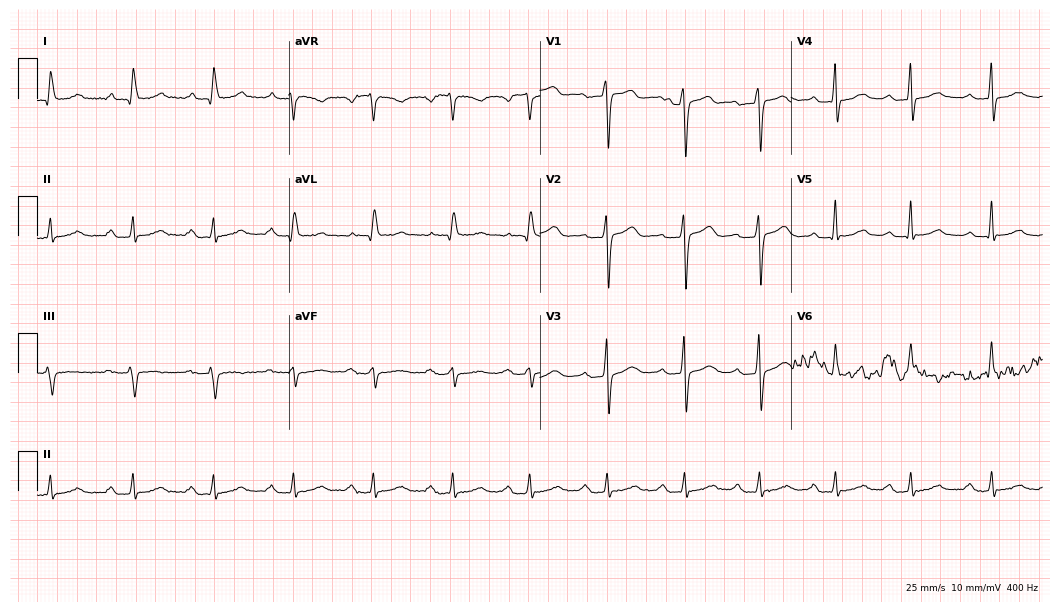
ECG (10.2-second recording at 400 Hz) — a female, 54 years old. Screened for six findings — first-degree AV block, right bundle branch block, left bundle branch block, sinus bradycardia, atrial fibrillation, sinus tachycardia — none is recorded. Findings outside these six are not listed.